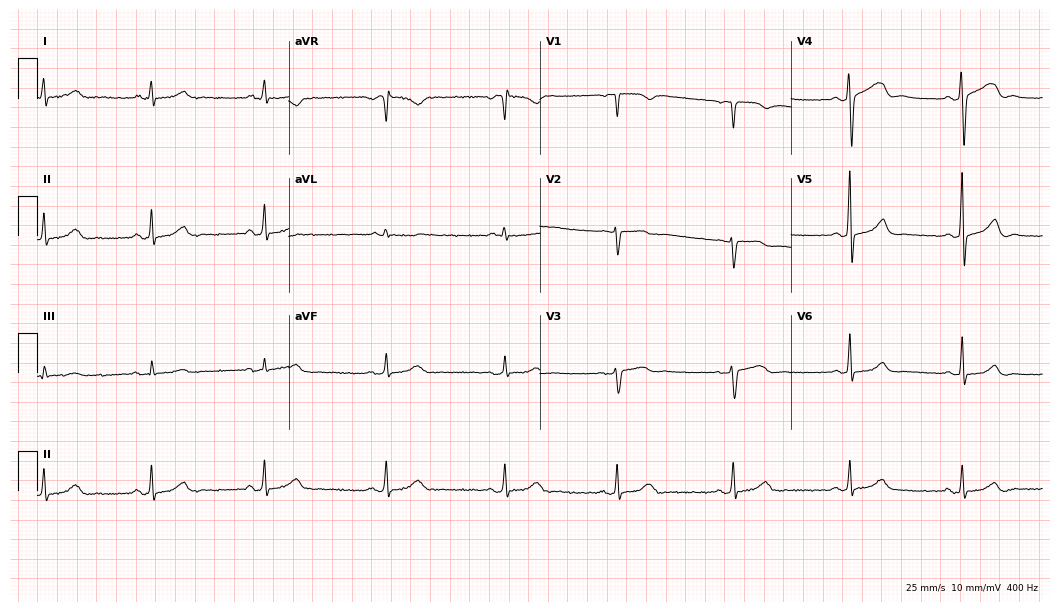
Electrocardiogram, a 34-year-old female patient. Overall reading on record: normal ECG.